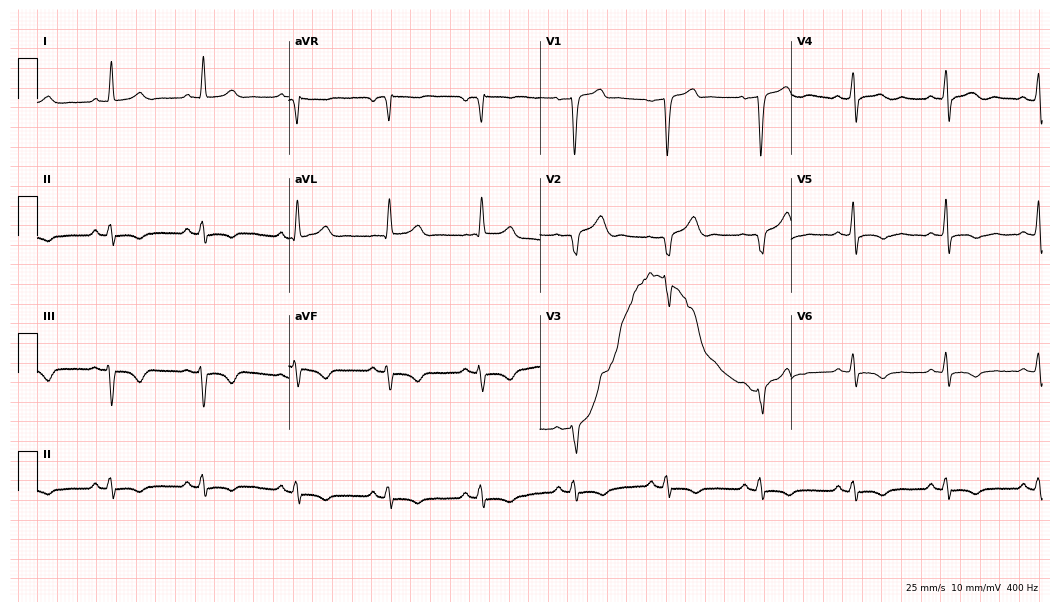
Electrocardiogram, a 58-year-old male. Of the six screened findings (first-degree AV block, right bundle branch block, left bundle branch block, sinus bradycardia, atrial fibrillation, sinus tachycardia), none is recorded. Other findings, if any, are not listed.